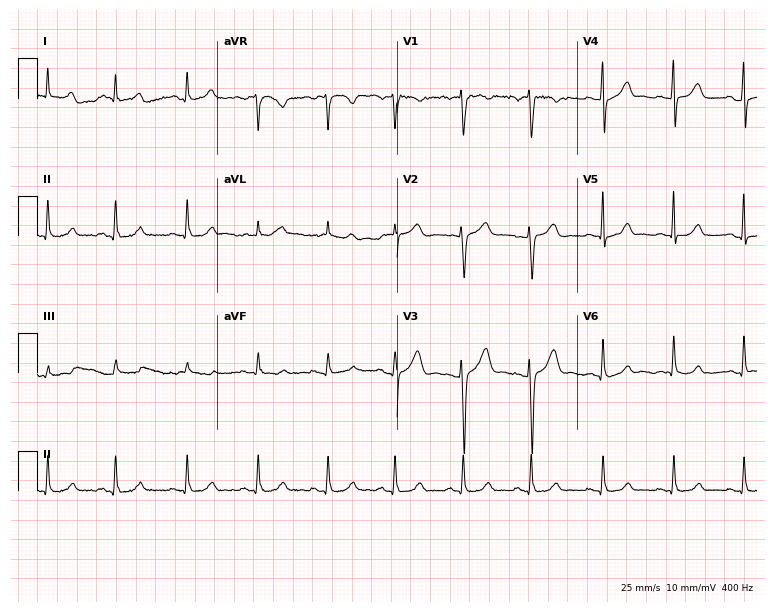
Standard 12-lead ECG recorded from a female patient, 39 years old. Read as a normal ECG.